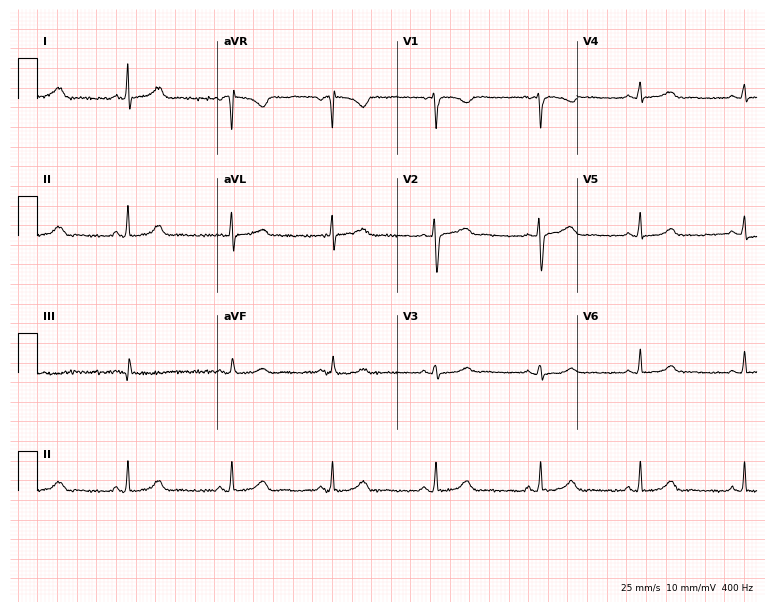
12-lead ECG from a 41-year-old woman. Screened for six findings — first-degree AV block, right bundle branch block, left bundle branch block, sinus bradycardia, atrial fibrillation, sinus tachycardia — none is recorded. Only these six findings were labelled.